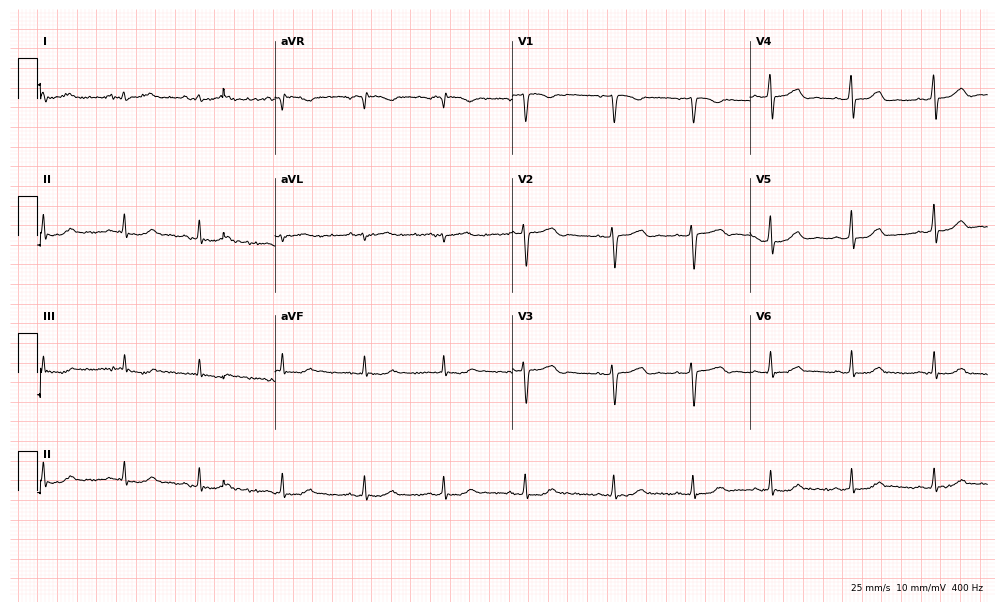
Standard 12-lead ECG recorded from a 40-year-old female patient. None of these six findings is recorded: first-degree AV block, right bundle branch block, left bundle branch block, sinus bradycardia, atrial fibrillation, sinus tachycardia. Other findings, if any, are not listed.